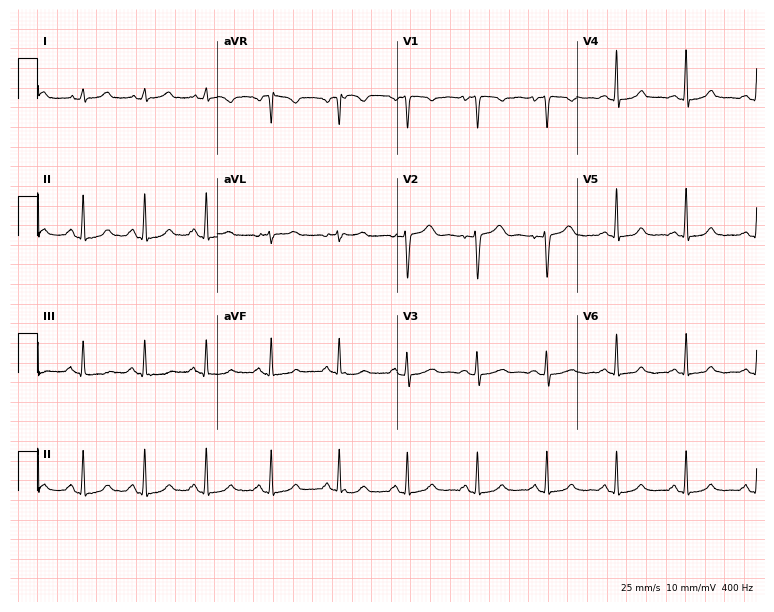
Resting 12-lead electrocardiogram (7.3-second recording at 400 Hz). Patient: a woman, 28 years old. Read as a normal ECG.